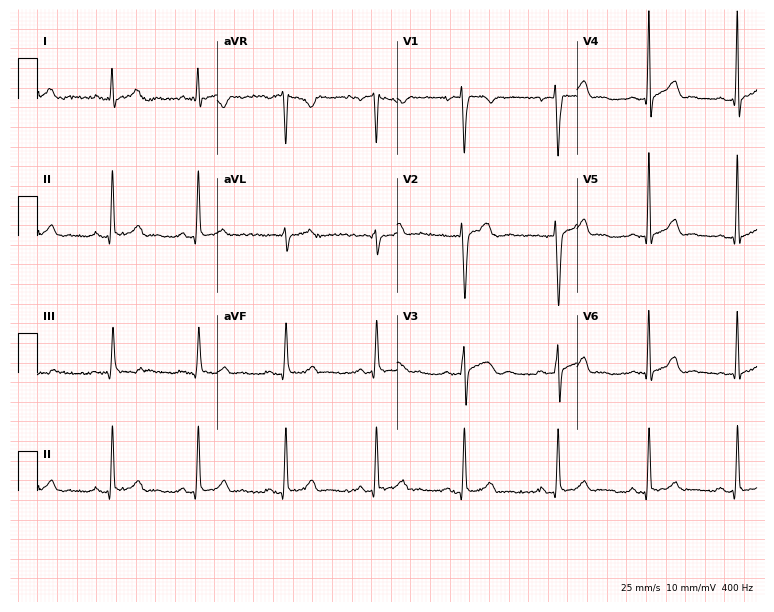
ECG (7.3-second recording at 400 Hz) — a 31-year-old man. Labelled as a normal ECG.